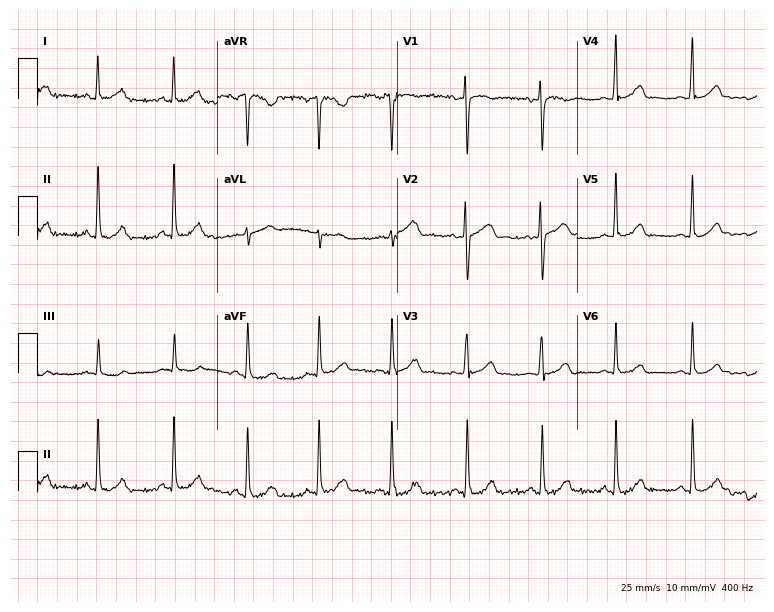
Electrocardiogram, a 31-year-old female. Overall reading on record: normal ECG.